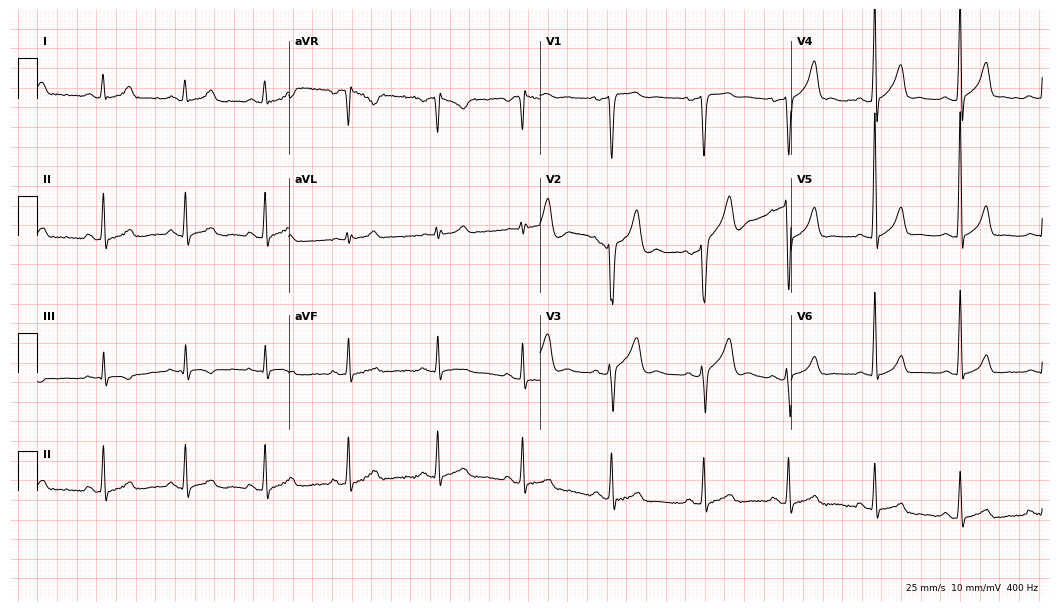
12-lead ECG from a 27-year-old male patient (10.2-second recording at 400 Hz). No first-degree AV block, right bundle branch block, left bundle branch block, sinus bradycardia, atrial fibrillation or sinus tachycardia recorded for this tracing. Findings outside these six are not listed.